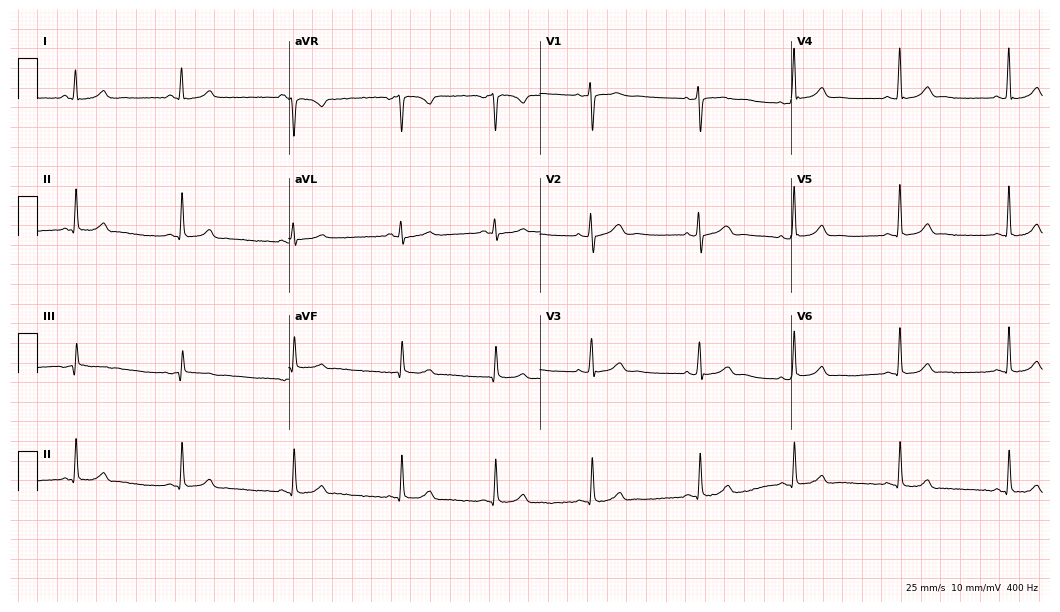
ECG — a woman, 22 years old. Labelled as a normal ECG.